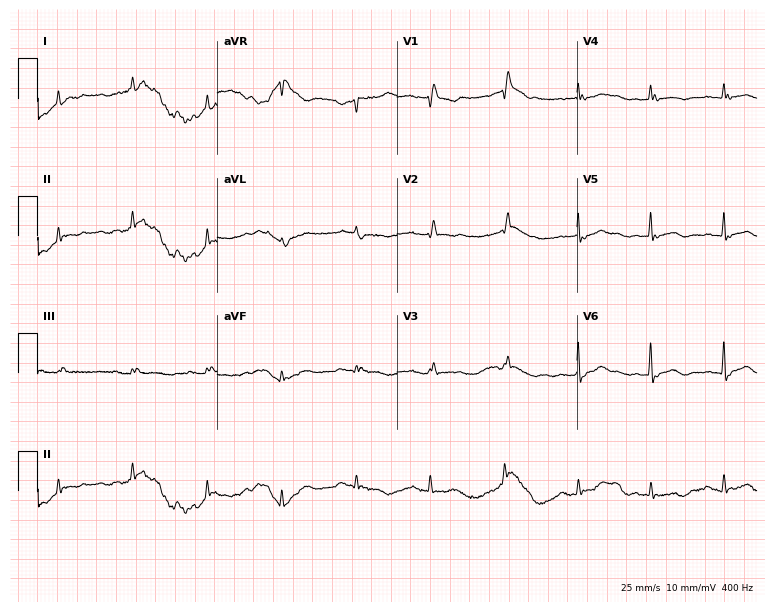
12-lead ECG (7.3-second recording at 400 Hz) from an 82-year-old male. Screened for six findings — first-degree AV block, right bundle branch block, left bundle branch block, sinus bradycardia, atrial fibrillation, sinus tachycardia — none is recorded. Findings outside these six are not listed.